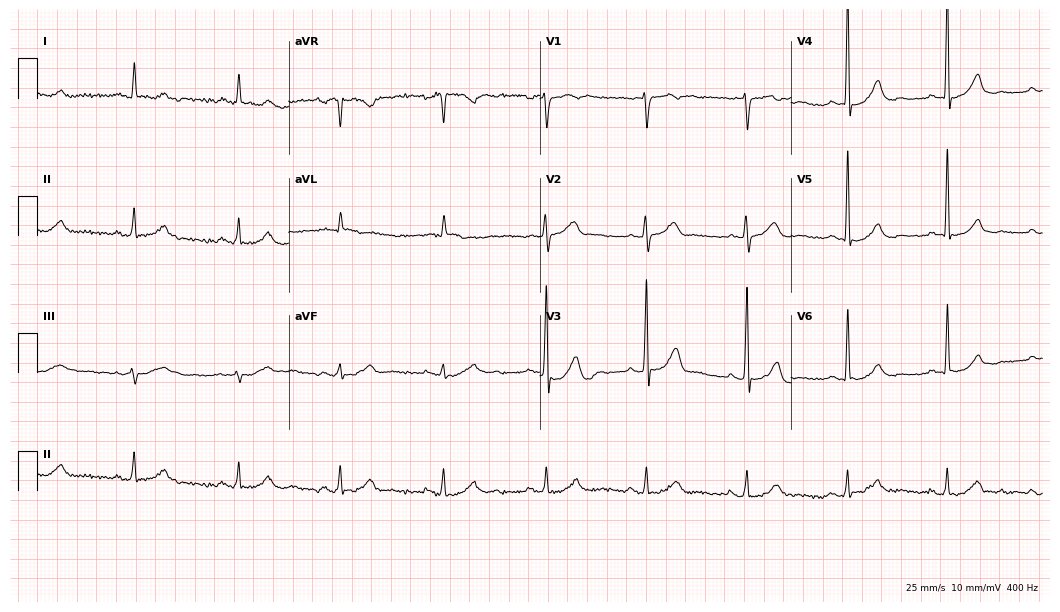
Standard 12-lead ECG recorded from a 55-year-old male (10.2-second recording at 400 Hz). Read as a normal ECG.